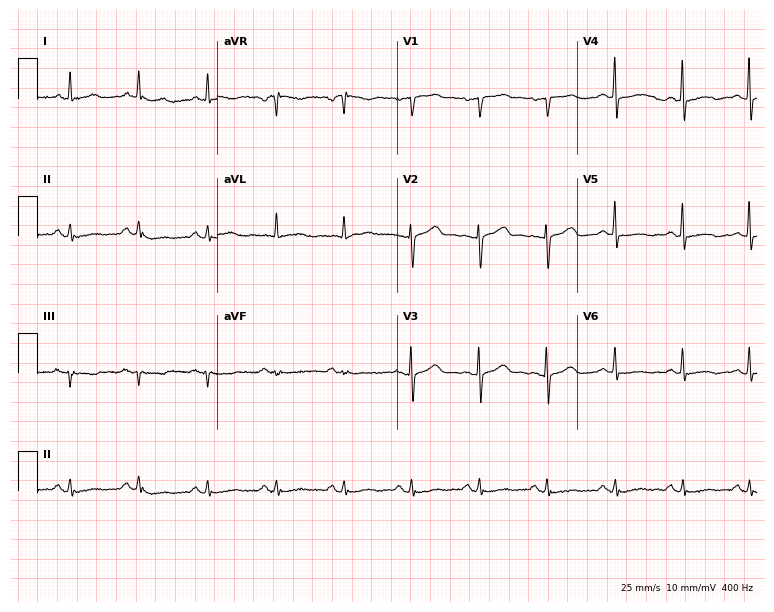
12-lead ECG (7.3-second recording at 400 Hz) from a 77-year-old female patient. Screened for six findings — first-degree AV block, right bundle branch block, left bundle branch block, sinus bradycardia, atrial fibrillation, sinus tachycardia — none is recorded.